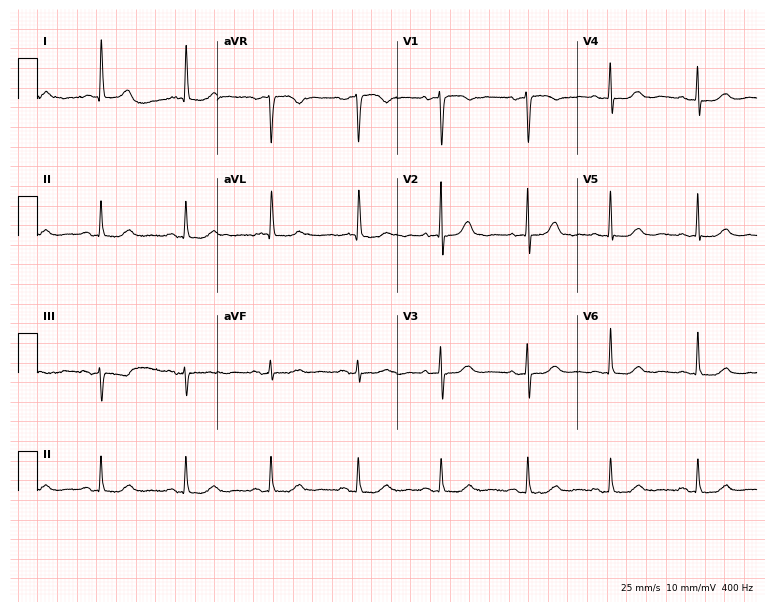
ECG — a 72-year-old woman. Labelled as a normal ECG.